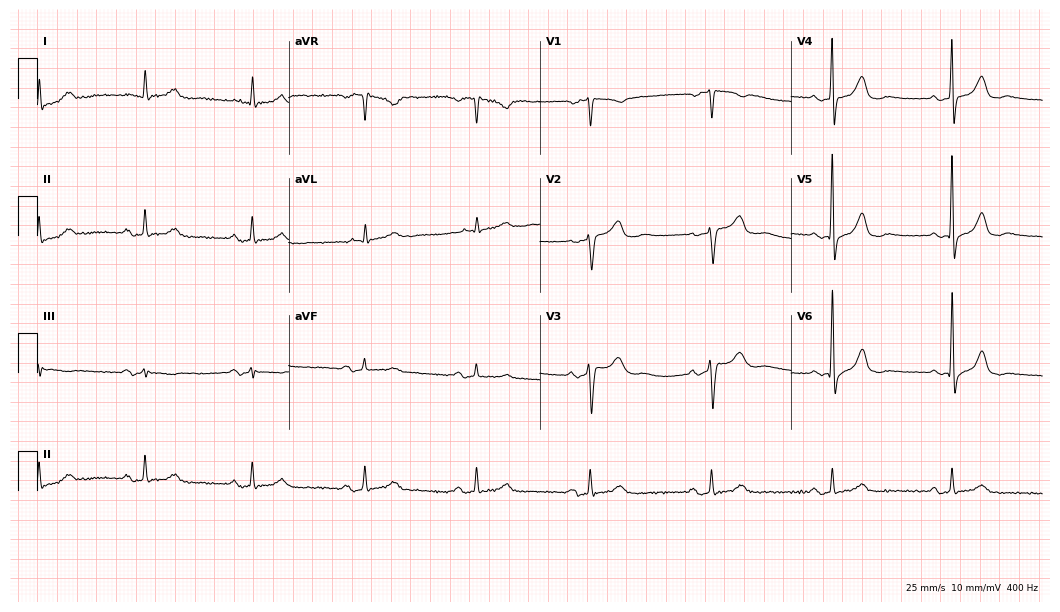
Resting 12-lead electrocardiogram. Patient: a female, 77 years old. Read as a normal ECG.